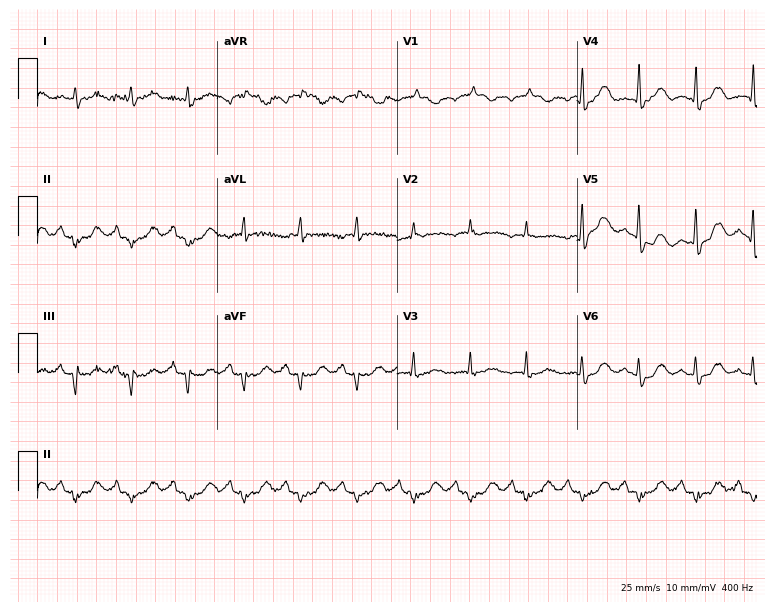
12-lead ECG (7.3-second recording at 400 Hz) from a 76-year-old female patient. Findings include sinus tachycardia (a sinus rate of 100 beats per minute or more).